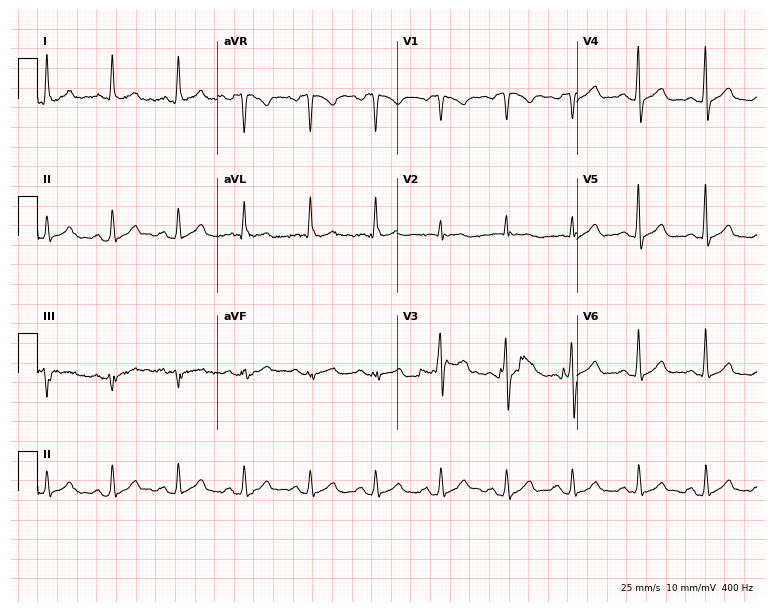
Electrocardiogram, a 54-year-old male patient. Overall reading on record: normal ECG.